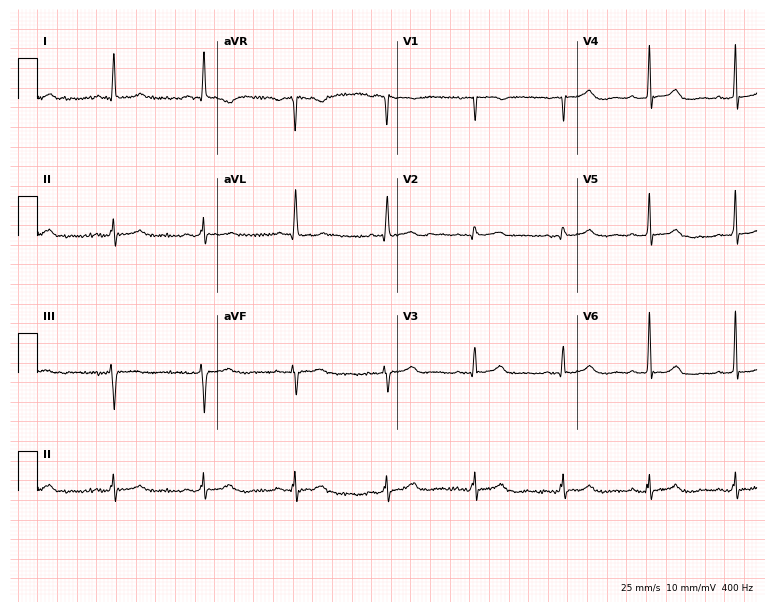
ECG (7.3-second recording at 400 Hz) — a 71-year-old female. Labelled as a normal ECG.